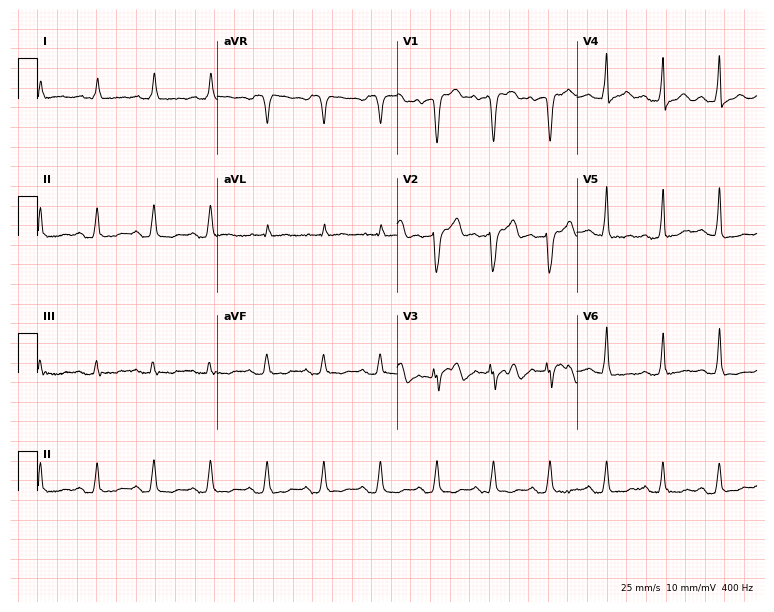
Electrocardiogram, a female, 83 years old. Of the six screened findings (first-degree AV block, right bundle branch block, left bundle branch block, sinus bradycardia, atrial fibrillation, sinus tachycardia), none is recorded.